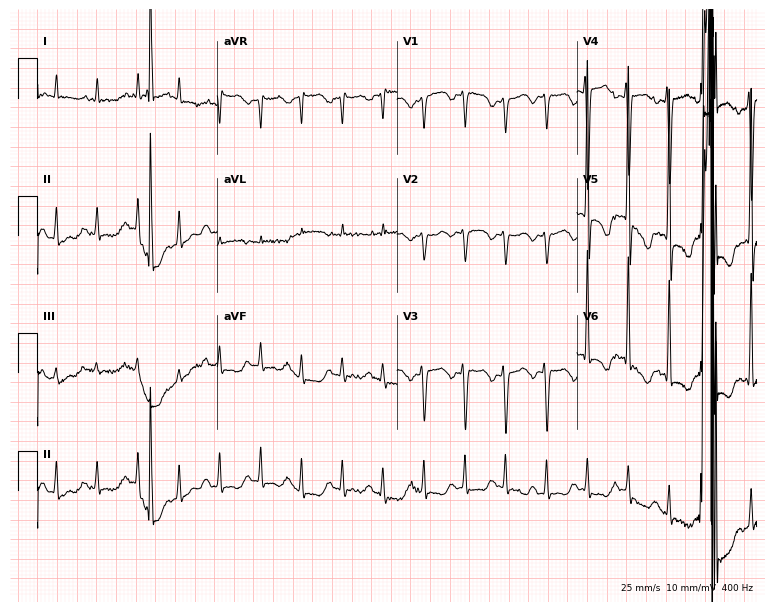
ECG (7.3-second recording at 400 Hz) — a woman, 83 years old. Screened for six findings — first-degree AV block, right bundle branch block (RBBB), left bundle branch block (LBBB), sinus bradycardia, atrial fibrillation (AF), sinus tachycardia — none is recorded. Only these six findings were labelled.